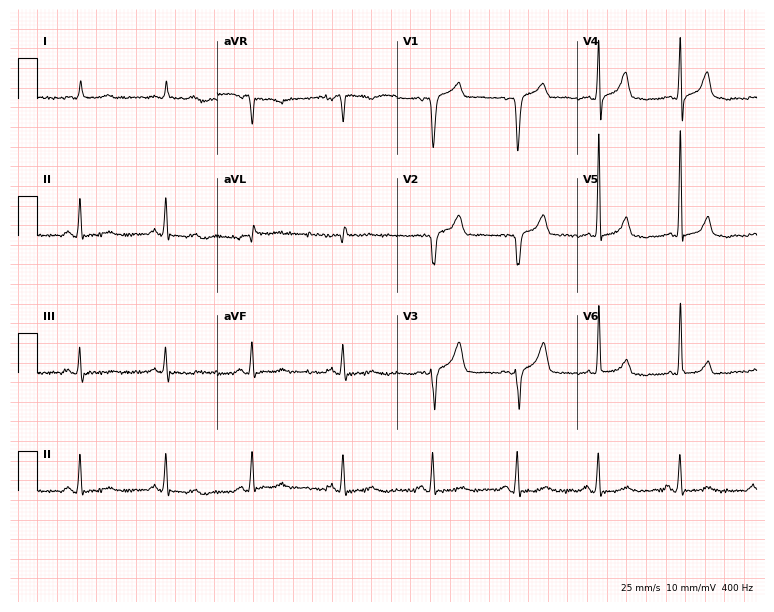
12-lead ECG from a man, 66 years old (7.3-second recording at 400 Hz). No first-degree AV block, right bundle branch block, left bundle branch block, sinus bradycardia, atrial fibrillation or sinus tachycardia recorded for this tracing.